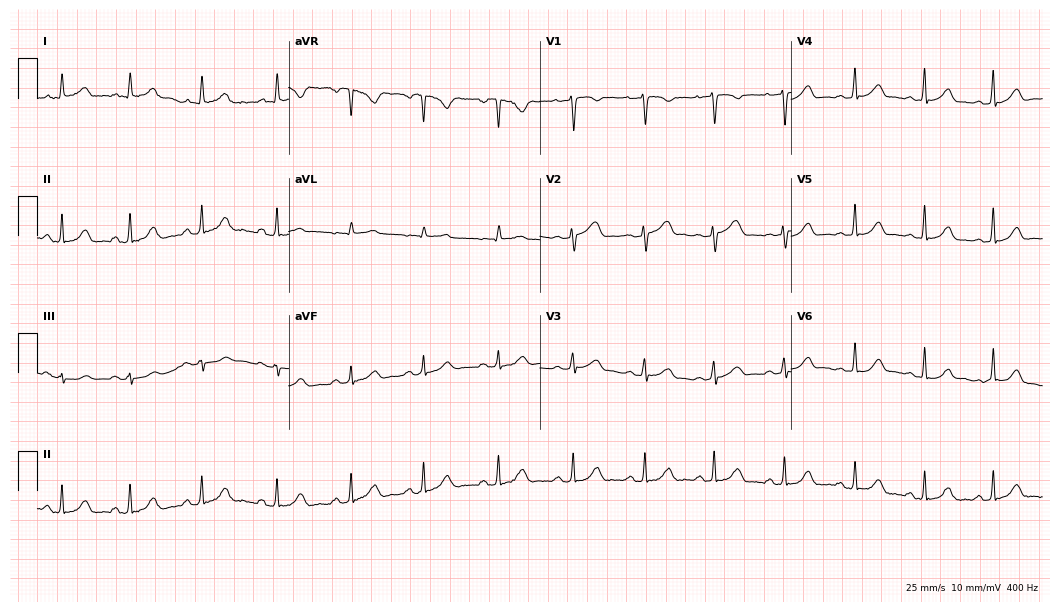
Resting 12-lead electrocardiogram (10.2-second recording at 400 Hz). Patient: a woman, 40 years old. Read as a normal ECG.